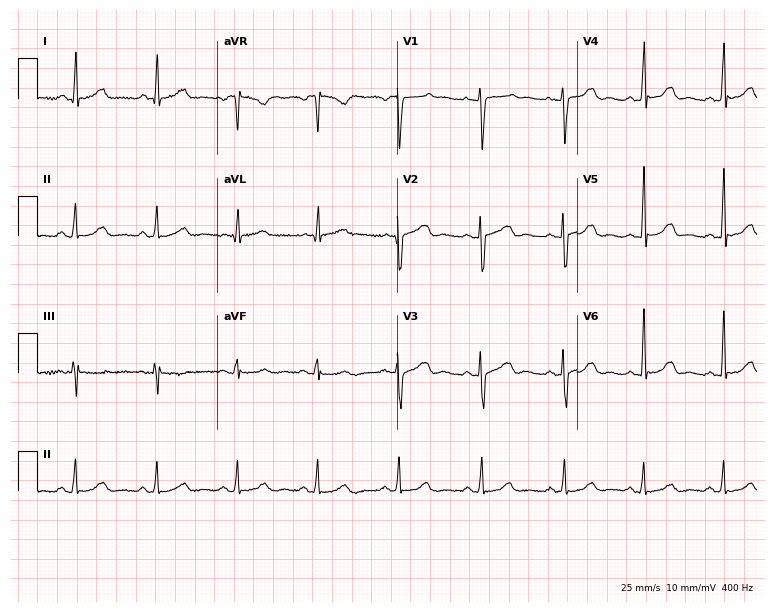
12-lead ECG (7.3-second recording at 400 Hz) from a female, 49 years old. Screened for six findings — first-degree AV block, right bundle branch block, left bundle branch block, sinus bradycardia, atrial fibrillation, sinus tachycardia — none is recorded. Findings outside these six are not listed.